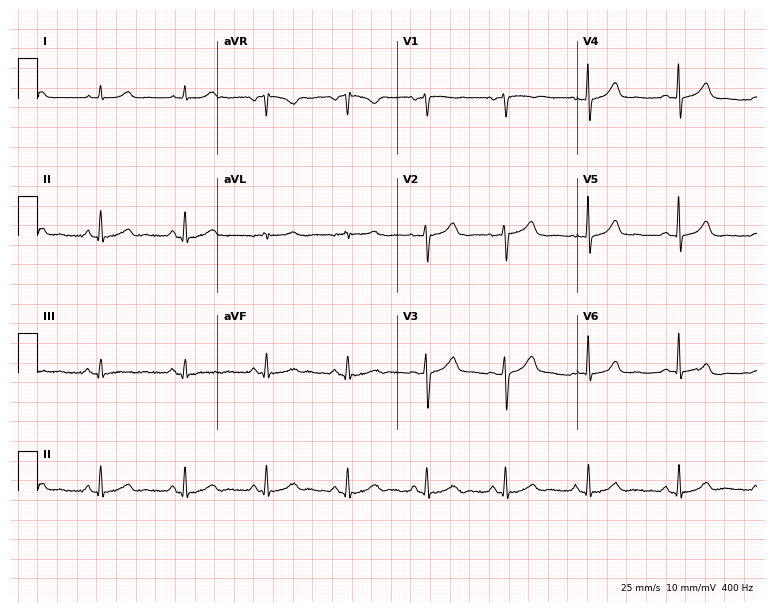
12-lead ECG from a female, 55 years old. No first-degree AV block, right bundle branch block (RBBB), left bundle branch block (LBBB), sinus bradycardia, atrial fibrillation (AF) or sinus tachycardia recorded for this tracing.